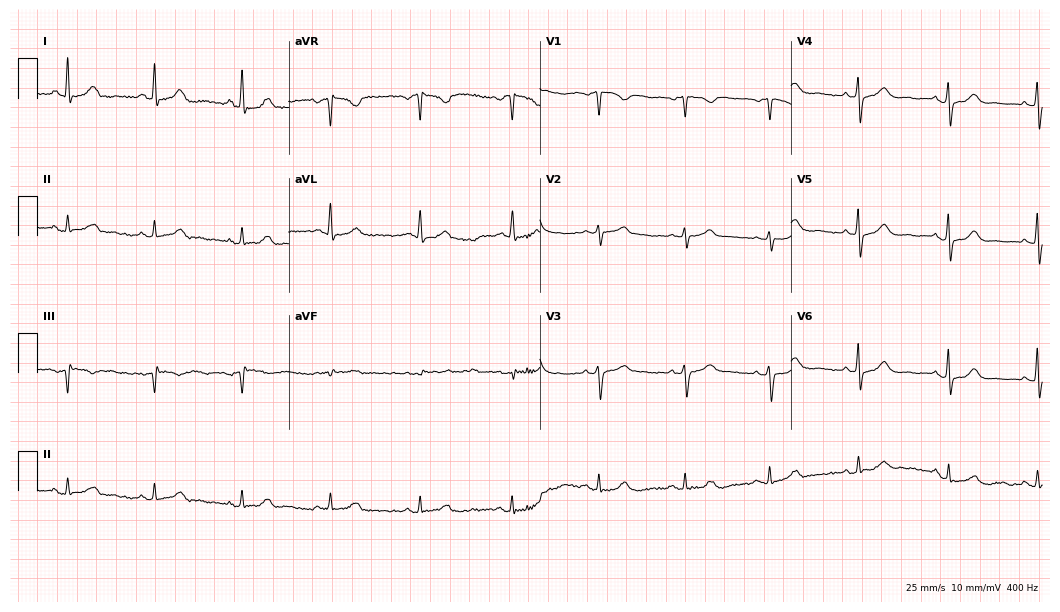
Electrocardiogram (10.2-second recording at 400 Hz), a 70-year-old female patient. Overall reading on record: normal ECG.